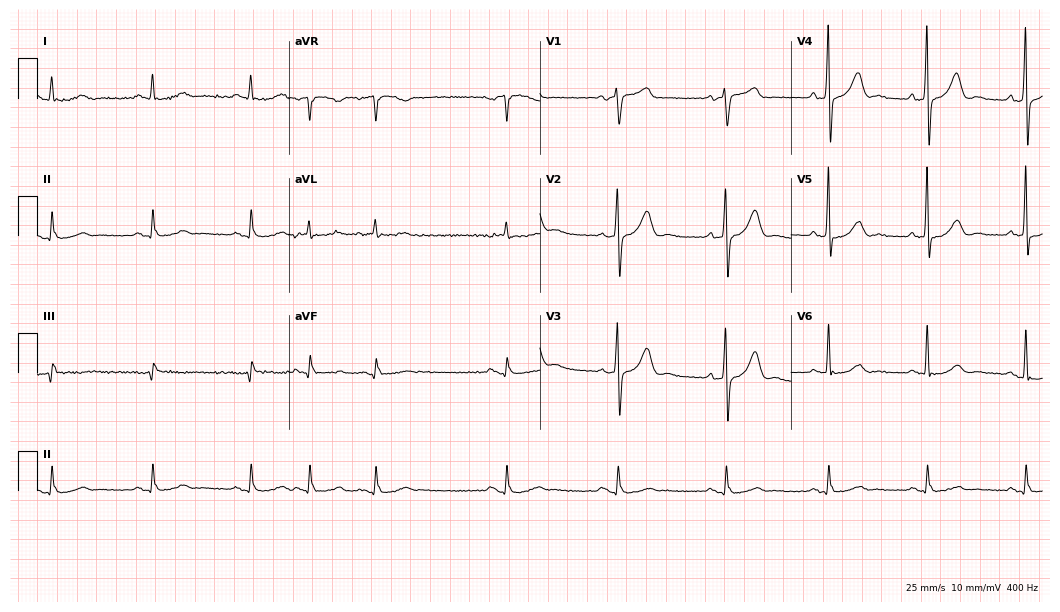
ECG — a 73-year-old male. Screened for six findings — first-degree AV block, right bundle branch block (RBBB), left bundle branch block (LBBB), sinus bradycardia, atrial fibrillation (AF), sinus tachycardia — none is recorded.